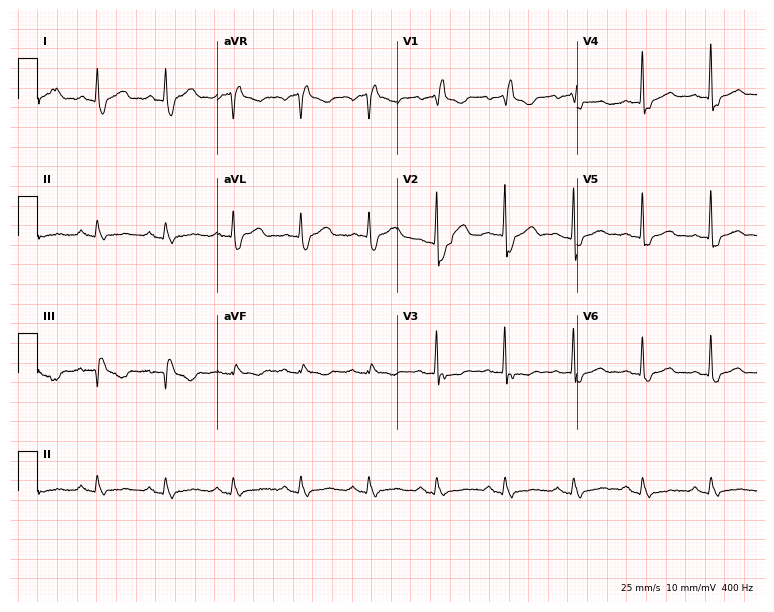
12-lead ECG from a 63-year-old female (7.3-second recording at 400 Hz). Shows right bundle branch block (RBBB).